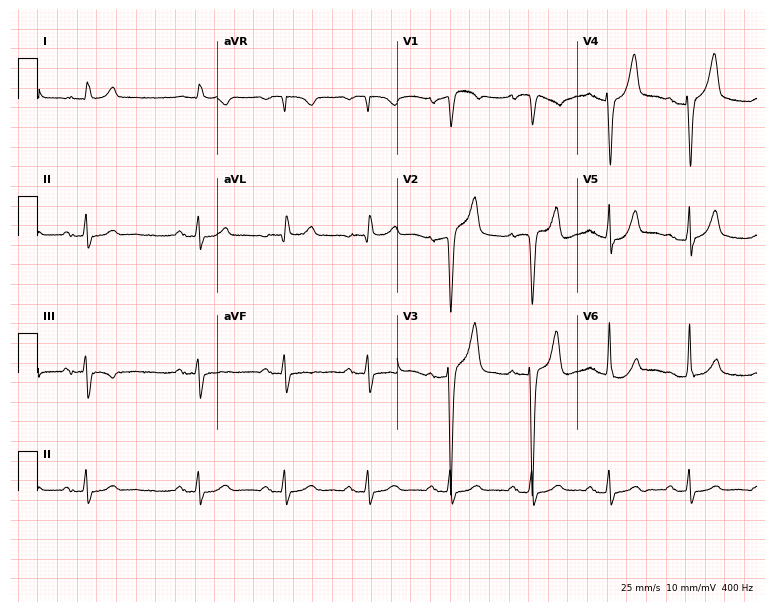
12-lead ECG from a male patient, 66 years old. Labelled as a normal ECG.